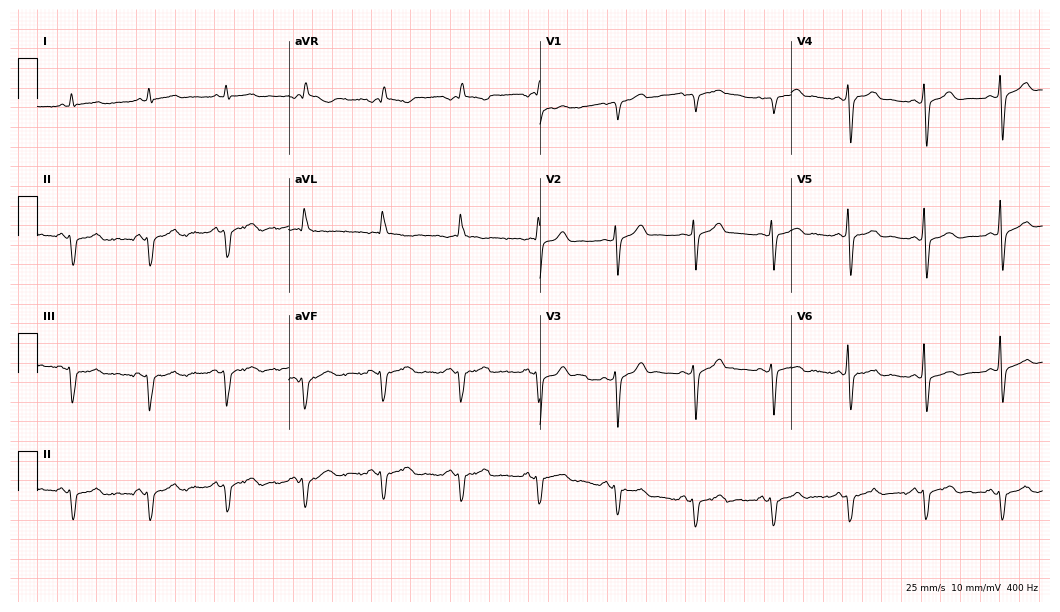
Standard 12-lead ECG recorded from a male patient, 70 years old (10.2-second recording at 400 Hz). None of these six findings is recorded: first-degree AV block, right bundle branch block (RBBB), left bundle branch block (LBBB), sinus bradycardia, atrial fibrillation (AF), sinus tachycardia. Other findings, if any, are not listed.